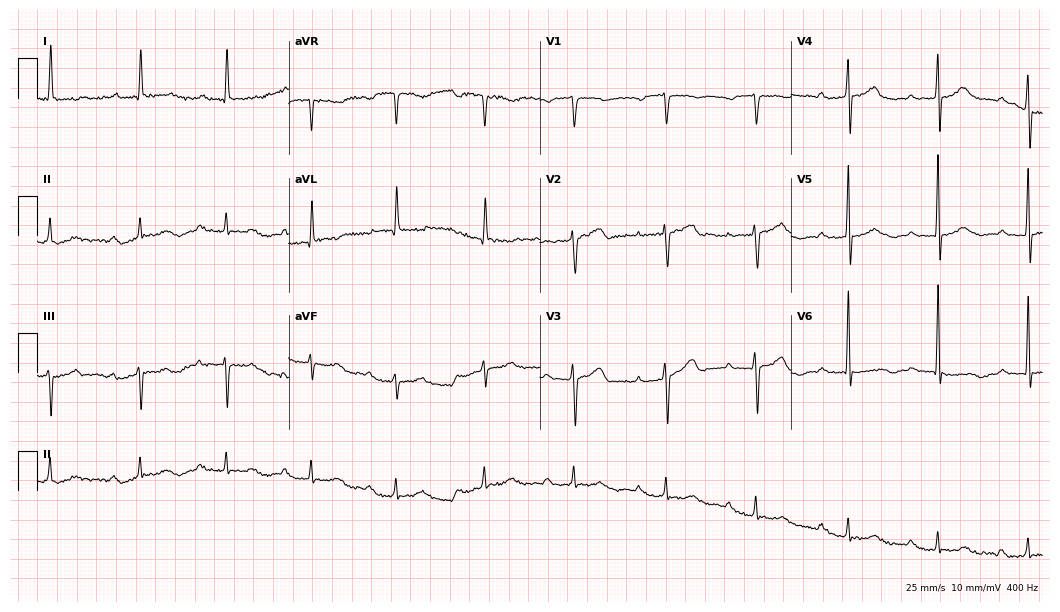
12-lead ECG from a 71-year-old man. Findings include first-degree AV block.